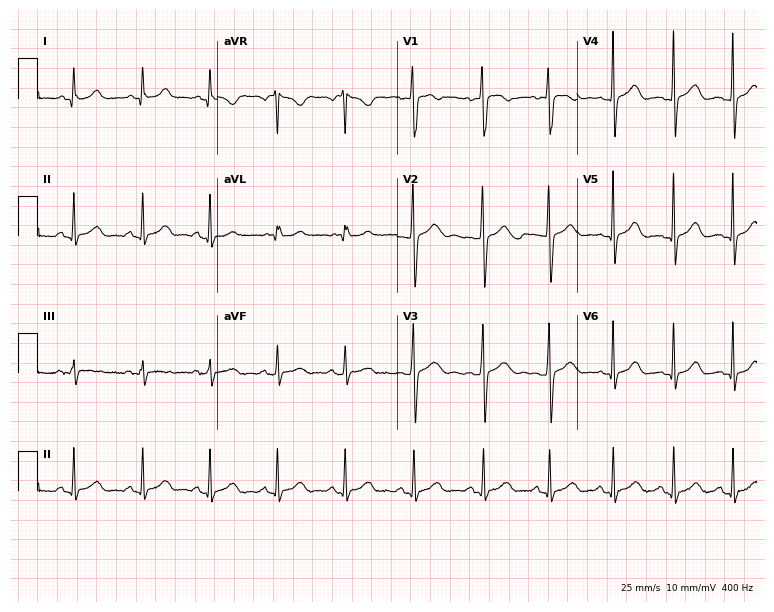
12-lead ECG (7.3-second recording at 400 Hz) from a female, 19 years old. Labelled as a normal ECG.